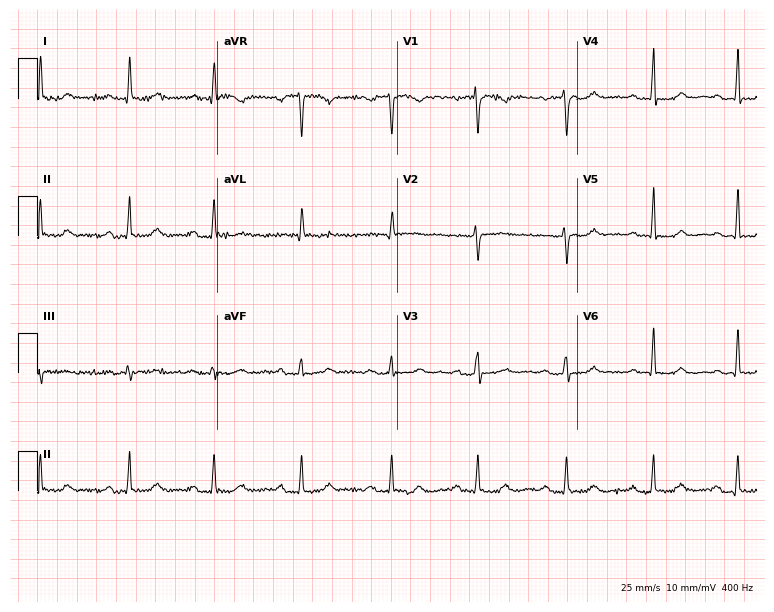
12-lead ECG from a male, 58 years old. Findings include first-degree AV block.